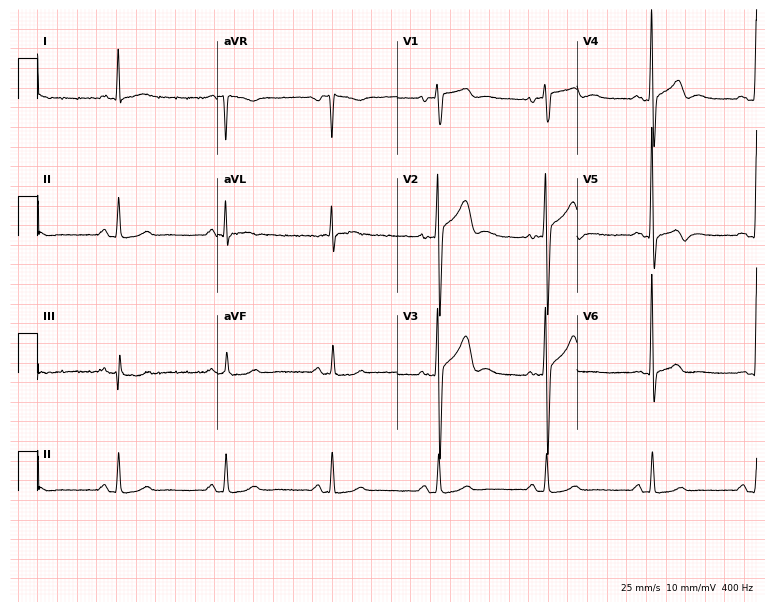
Standard 12-lead ECG recorded from a man, 60 years old. Read as a normal ECG.